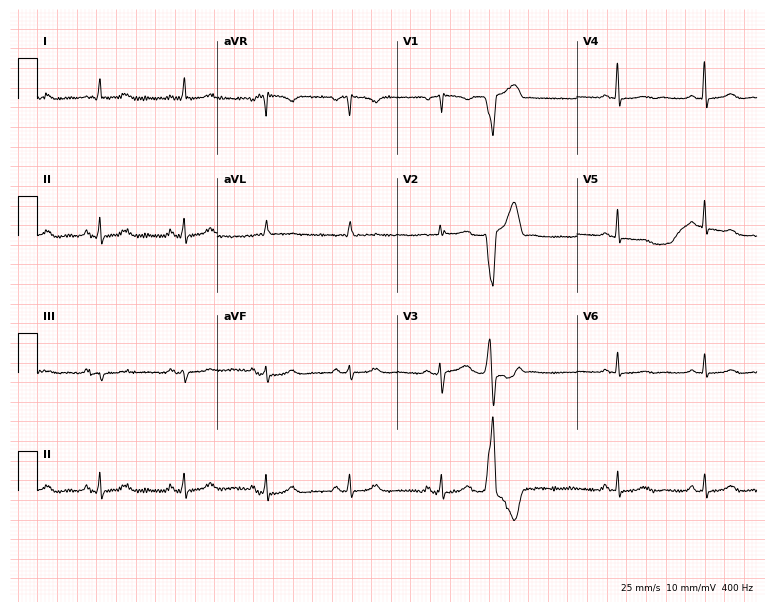
Electrocardiogram, a 36-year-old female. Of the six screened findings (first-degree AV block, right bundle branch block, left bundle branch block, sinus bradycardia, atrial fibrillation, sinus tachycardia), none is recorded. Other findings, if any, are not listed.